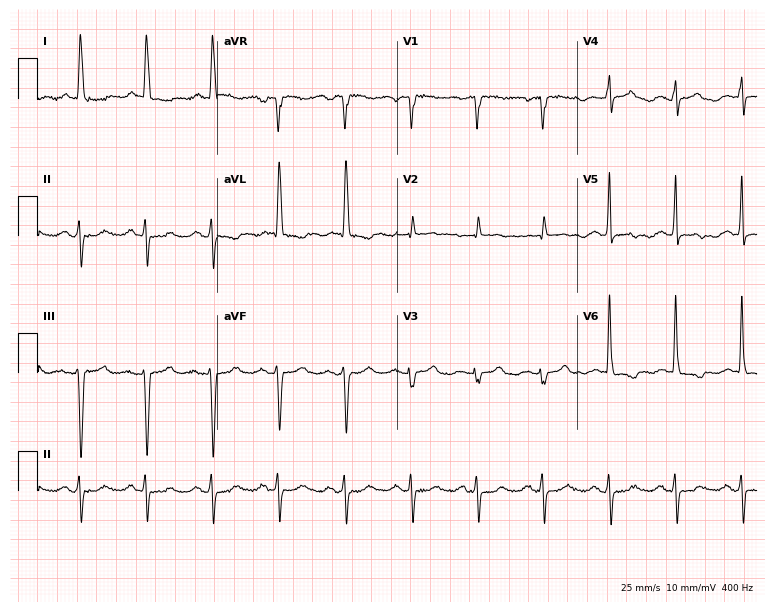
12-lead ECG from a woman, 81 years old (7.3-second recording at 400 Hz). No first-degree AV block, right bundle branch block (RBBB), left bundle branch block (LBBB), sinus bradycardia, atrial fibrillation (AF) or sinus tachycardia recorded for this tracing. Other findings, if any, are not listed.